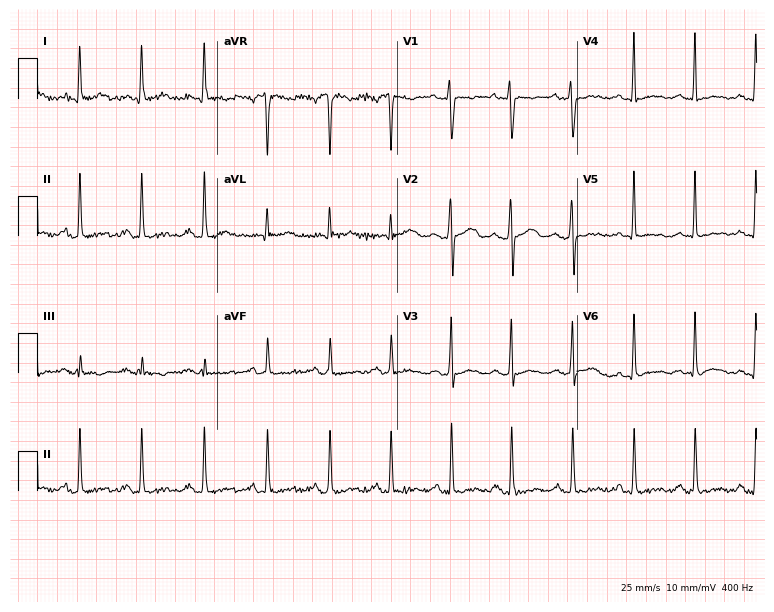
ECG — a 41-year-old female patient. Labelled as a normal ECG.